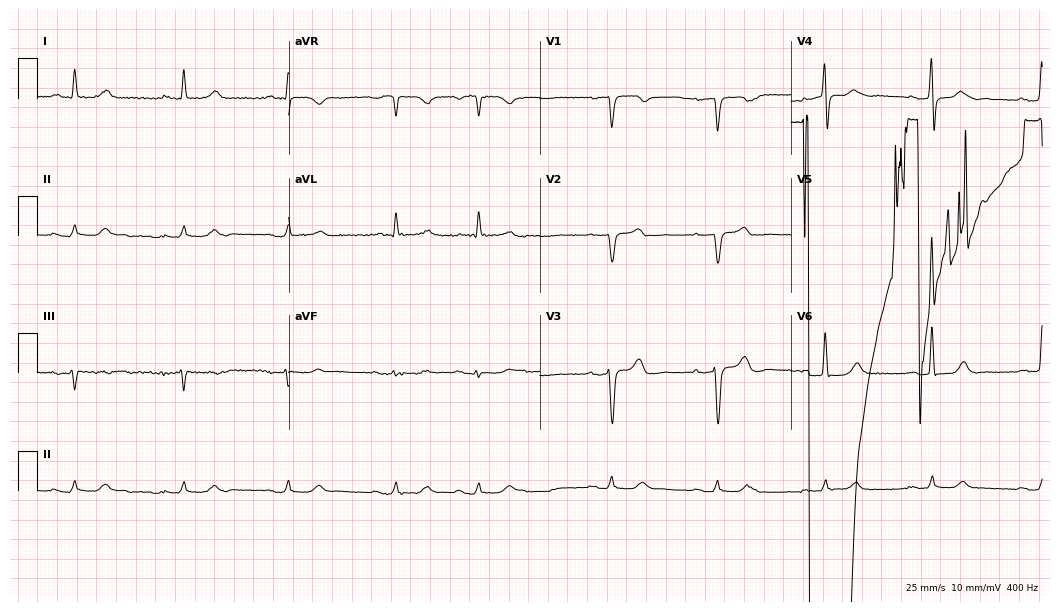
12-lead ECG from a 75-year-old man (10.2-second recording at 400 Hz). No first-degree AV block, right bundle branch block, left bundle branch block, sinus bradycardia, atrial fibrillation or sinus tachycardia recorded for this tracing. Only these six findings were labelled.